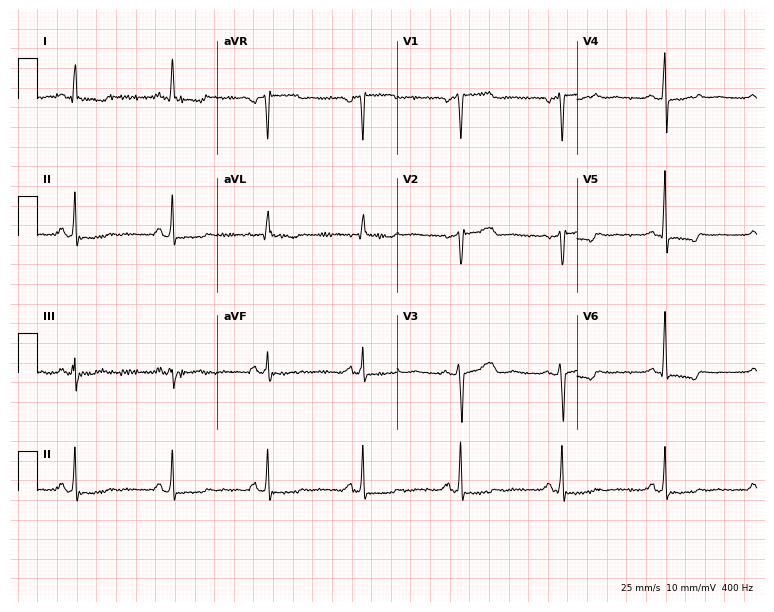
12-lead ECG (7.3-second recording at 400 Hz) from a woman, 48 years old. Screened for six findings — first-degree AV block, right bundle branch block, left bundle branch block, sinus bradycardia, atrial fibrillation, sinus tachycardia — none is recorded. Other findings, if any, are not listed.